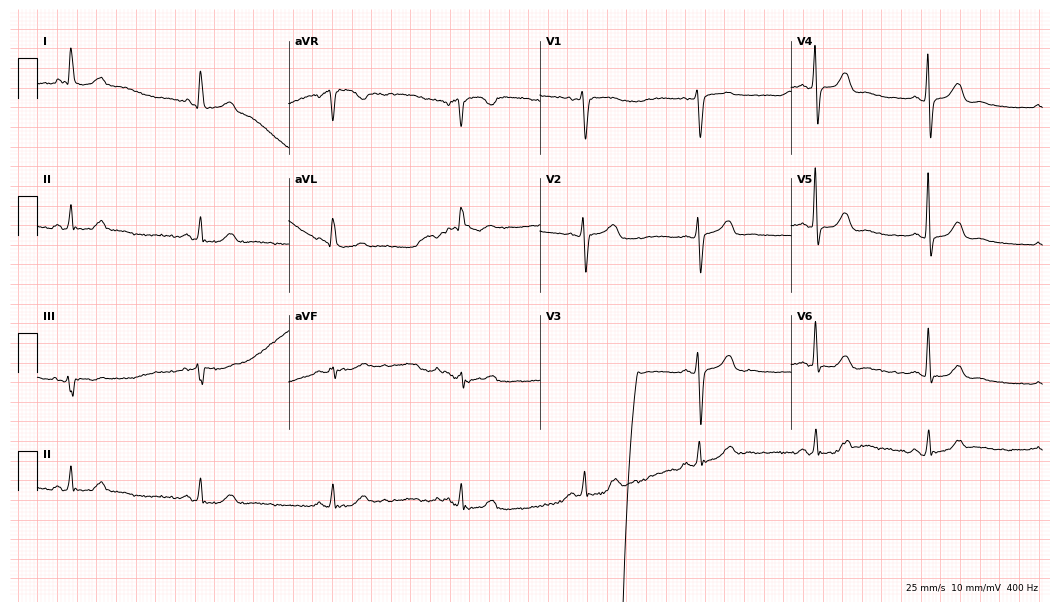
Electrocardiogram (10.2-second recording at 400 Hz), a 65-year-old female. Interpretation includes sinus bradycardia (a sinus rate of 50 beats per minute or less).